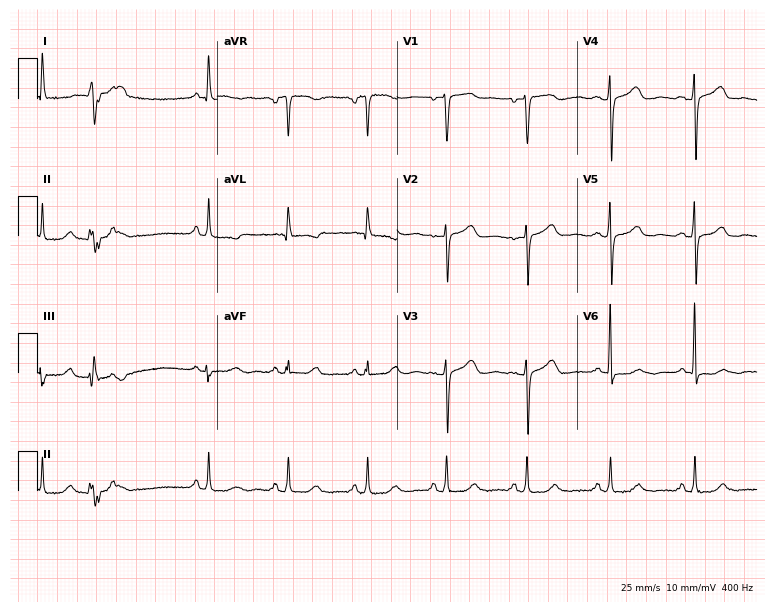
ECG (7.3-second recording at 400 Hz) — a female patient, 71 years old. Screened for six findings — first-degree AV block, right bundle branch block (RBBB), left bundle branch block (LBBB), sinus bradycardia, atrial fibrillation (AF), sinus tachycardia — none is recorded.